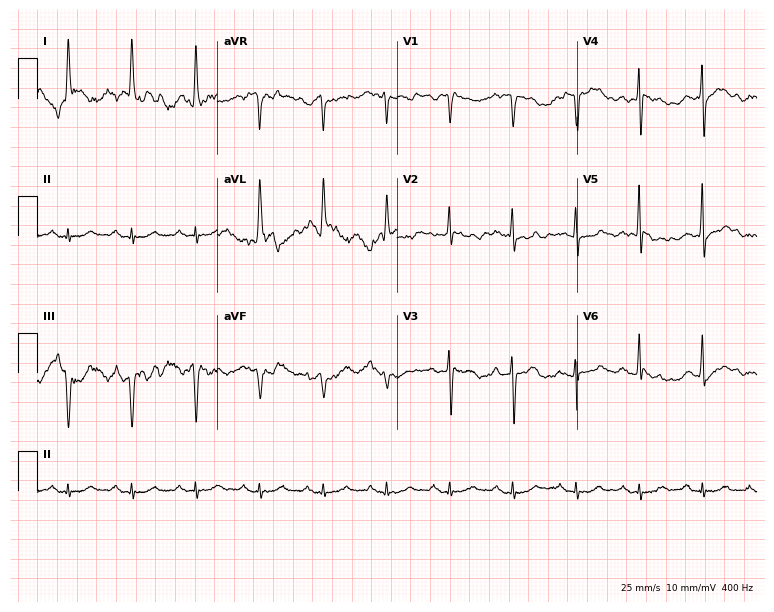
ECG (7.3-second recording at 400 Hz) — a 72-year-old male. Screened for six findings — first-degree AV block, right bundle branch block, left bundle branch block, sinus bradycardia, atrial fibrillation, sinus tachycardia — none is recorded.